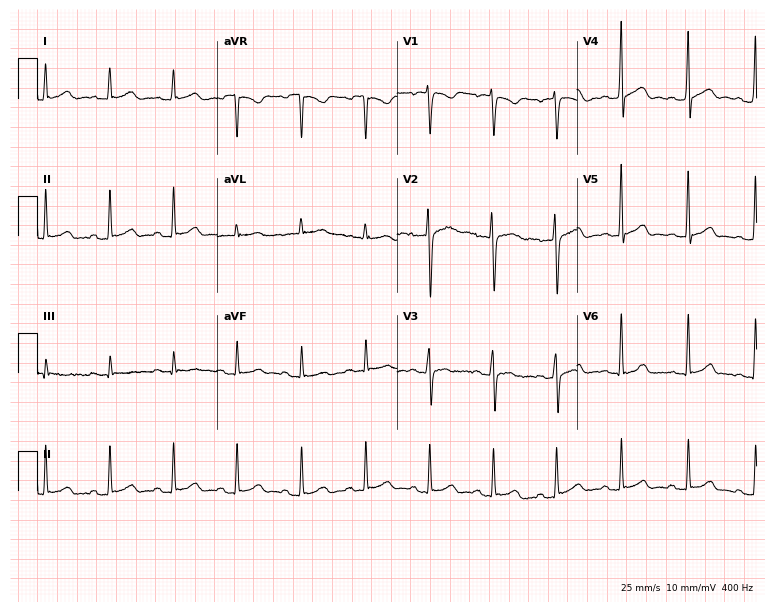
Resting 12-lead electrocardiogram. Patient: a 26-year-old male. None of these six findings is recorded: first-degree AV block, right bundle branch block (RBBB), left bundle branch block (LBBB), sinus bradycardia, atrial fibrillation (AF), sinus tachycardia.